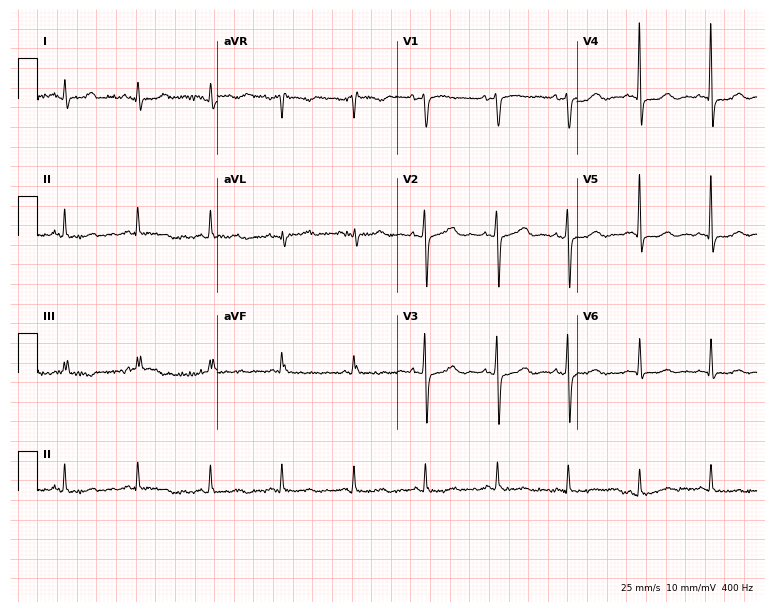
Electrocardiogram, an 81-year-old female. Of the six screened findings (first-degree AV block, right bundle branch block, left bundle branch block, sinus bradycardia, atrial fibrillation, sinus tachycardia), none is recorded.